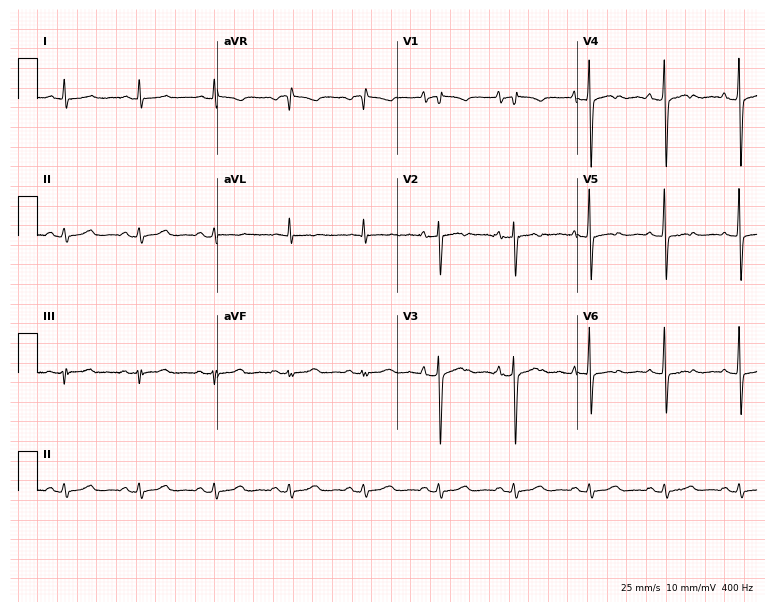
12-lead ECG from a male patient, 64 years old (7.3-second recording at 400 Hz). No first-degree AV block, right bundle branch block, left bundle branch block, sinus bradycardia, atrial fibrillation or sinus tachycardia recorded for this tracing. Findings outside these six are not listed.